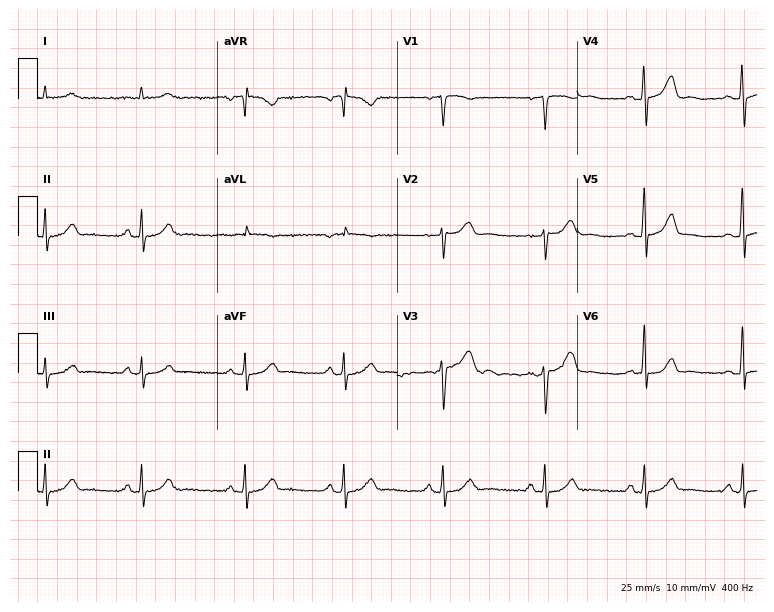
Resting 12-lead electrocardiogram. Patient: a male, 51 years old. None of these six findings is recorded: first-degree AV block, right bundle branch block, left bundle branch block, sinus bradycardia, atrial fibrillation, sinus tachycardia. Findings outside these six are not listed.